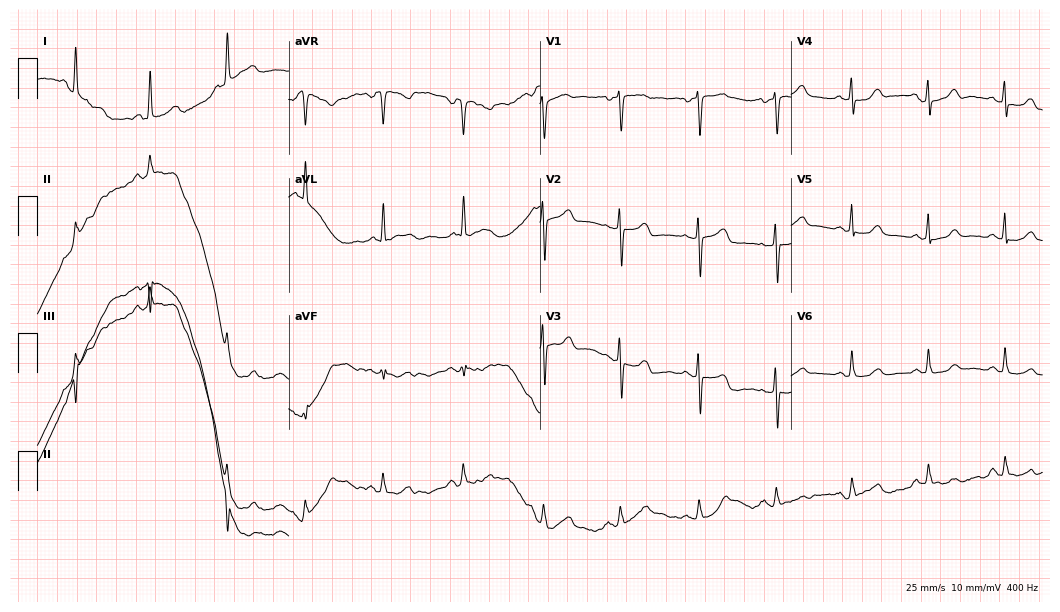
ECG — a woman, 73 years old. Labelled as a normal ECG.